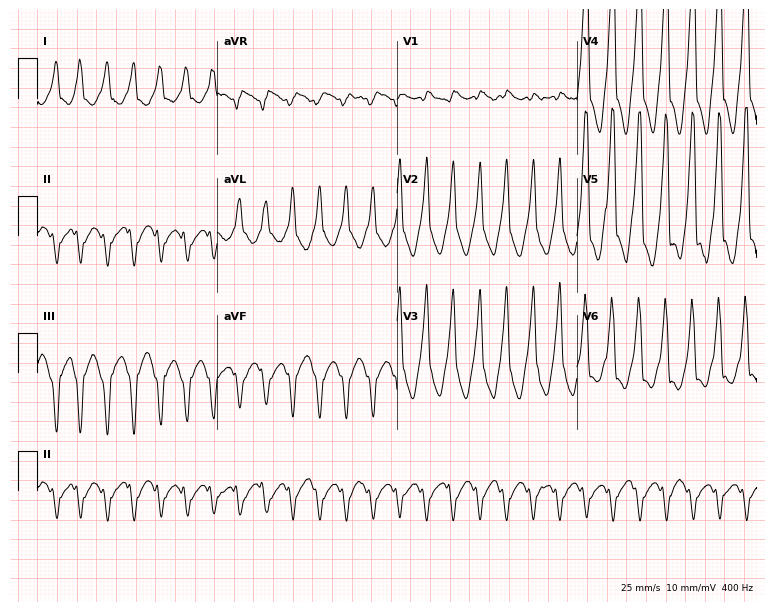
Standard 12-lead ECG recorded from a 68-year-old male. The tracing shows sinus tachycardia (a sinus rate of 100 beats per minute or more).